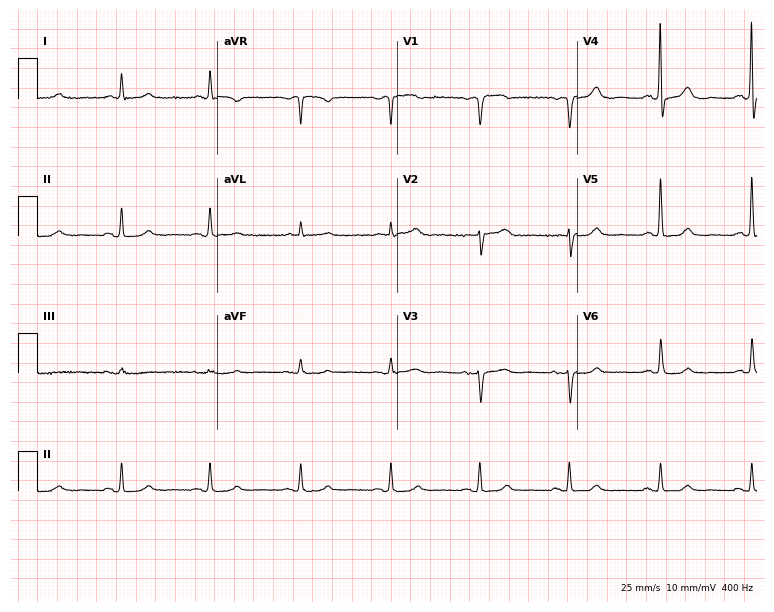
12-lead ECG from a female, 84 years old. Labelled as a normal ECG.